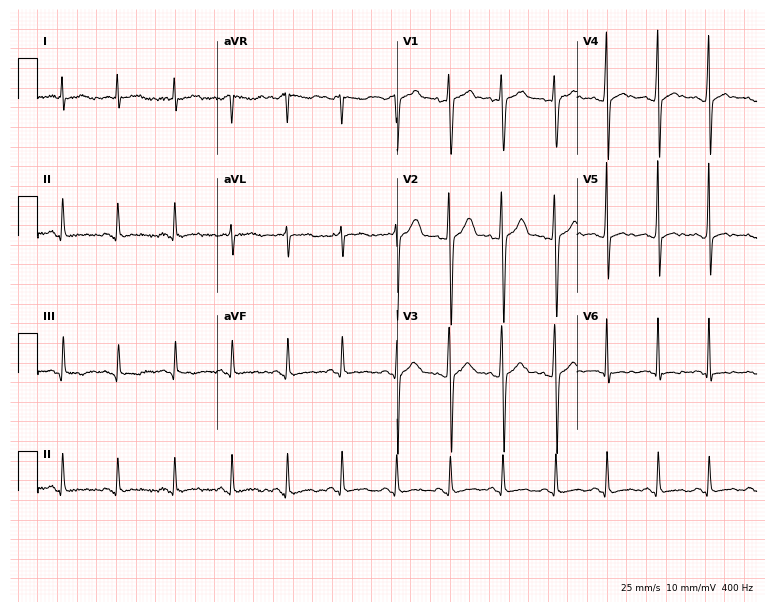
Electrocardiogram, a male, 30 years old. Interpretation includes sinus tachycardia (a sinus rate of 100 beats per minute or more).